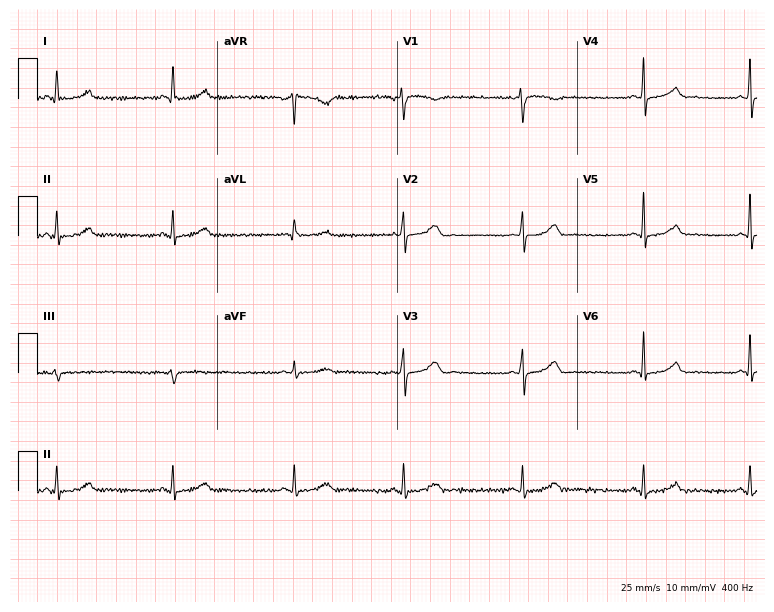
12-lead ECG from a 42-year-old female. Shows sinus bradycardia (a sinus rate of 50 beats per minute or less).